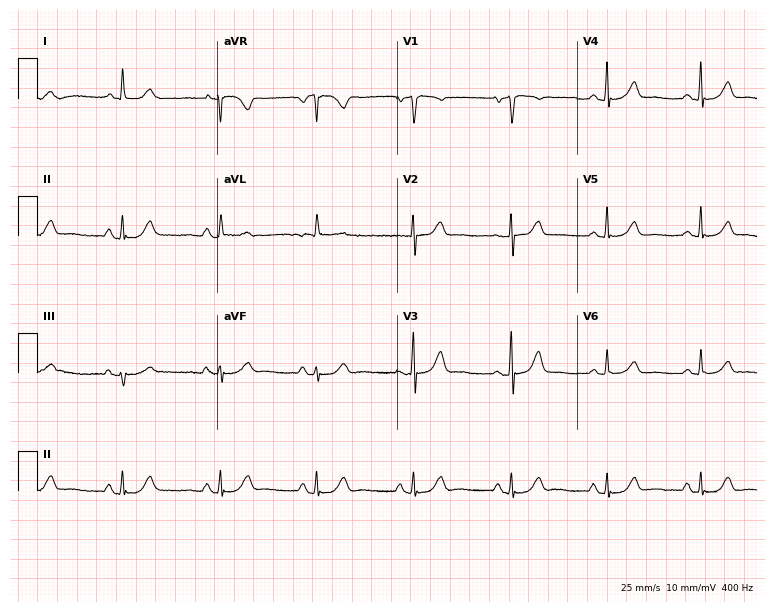
Electrocardiogram (7.3-second recording at 400 Hz), a female, 85 years old. Overall reading on record: normal ECG.